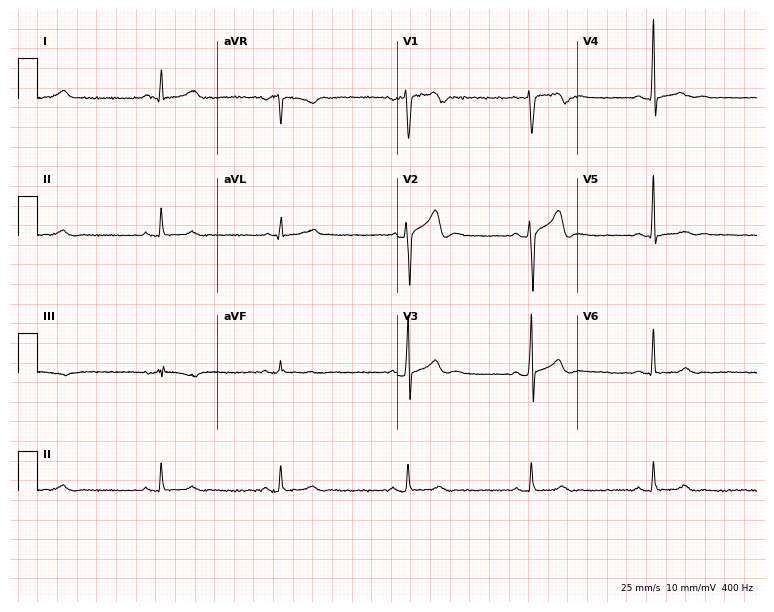
ECG — a male patient, 41 years old. Findings include sinus bradycardia (a sinus rate of 50 beats per minute or less).